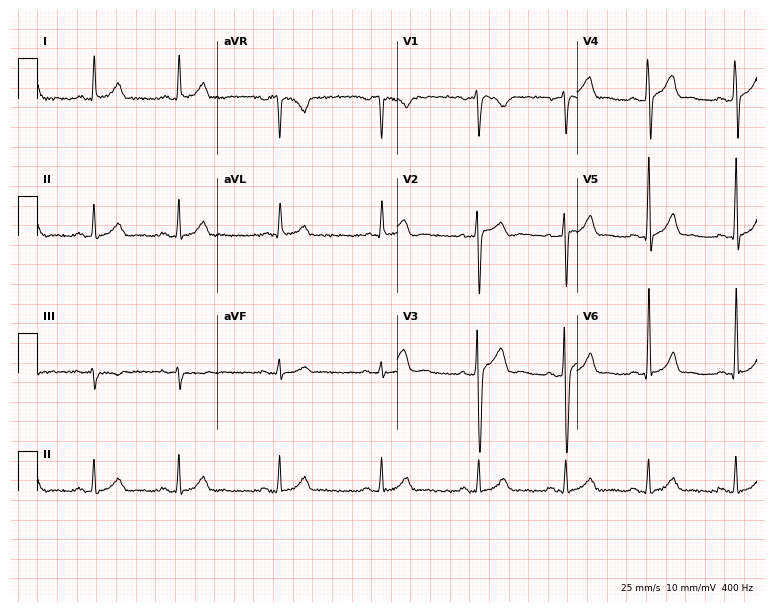
ECG (7.3-second recording at 400 Hz) — a 24-year-old man. Labelled as a normal ECG.